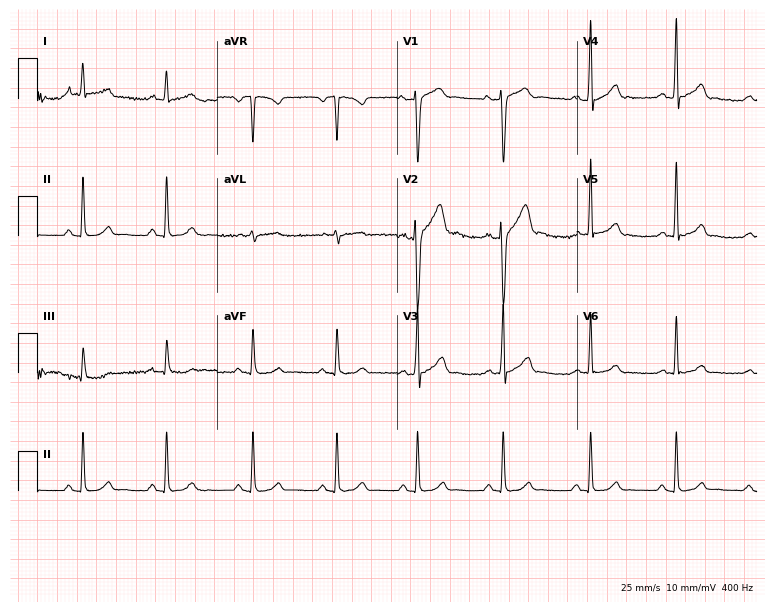
Resting 12-lead electrocardiogram (7.3-second recording at 400 Hz). Patient: a man, 29 years old. Read as a normal ECG.